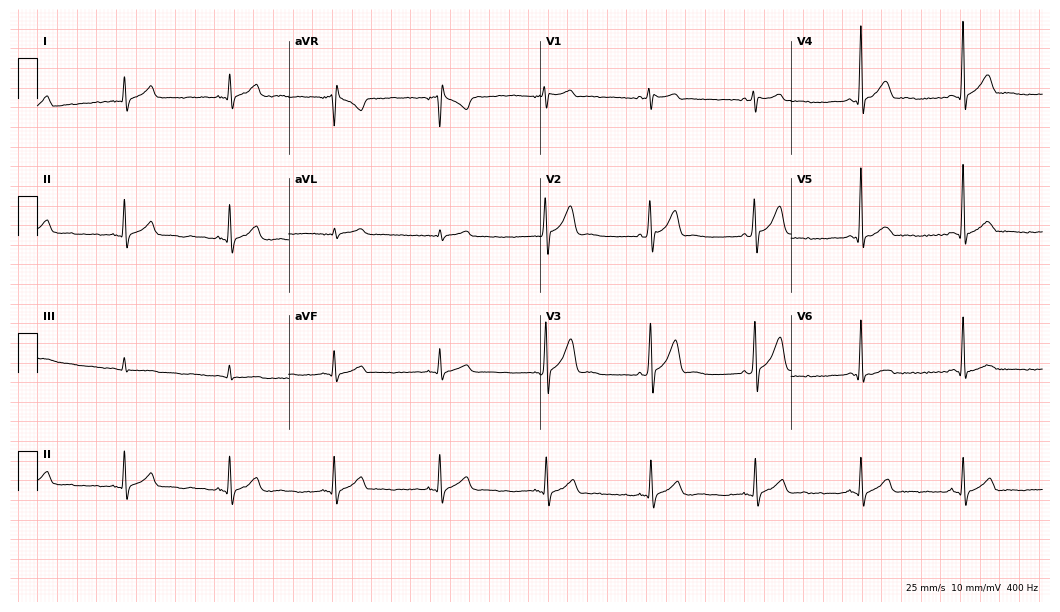
12-lead ECG from a man, 48 years old (10.2-second recording at 400 Hz). Recorded interpretation: within normal limits.